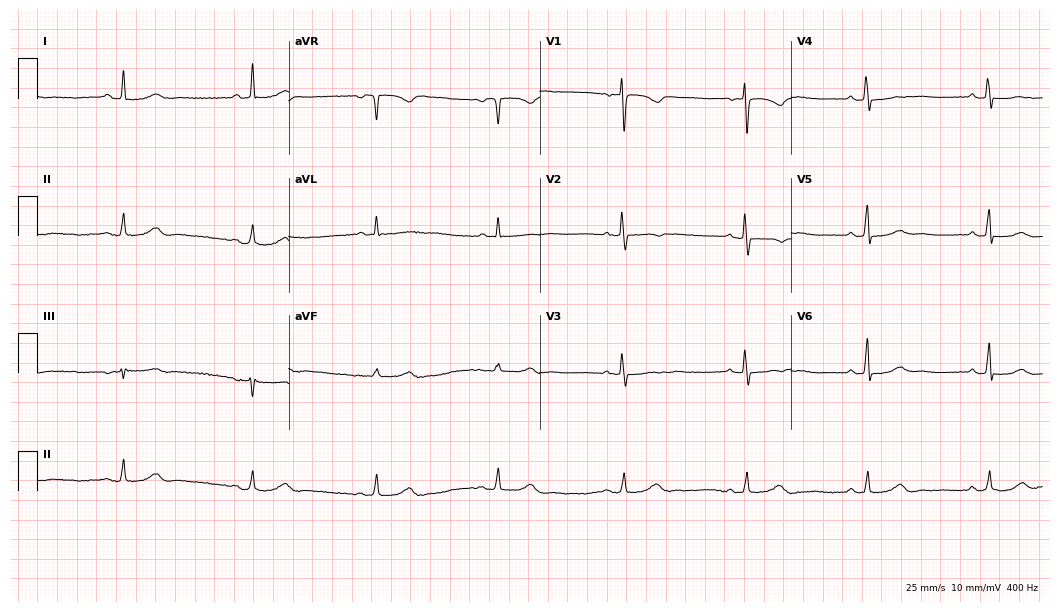
Electrocardiogram (10.2-second recording at 400 Hz), a female, 73 years old. Interpretation includes sinus bradycardia (a sinus rate of 50 beats per minute or less).